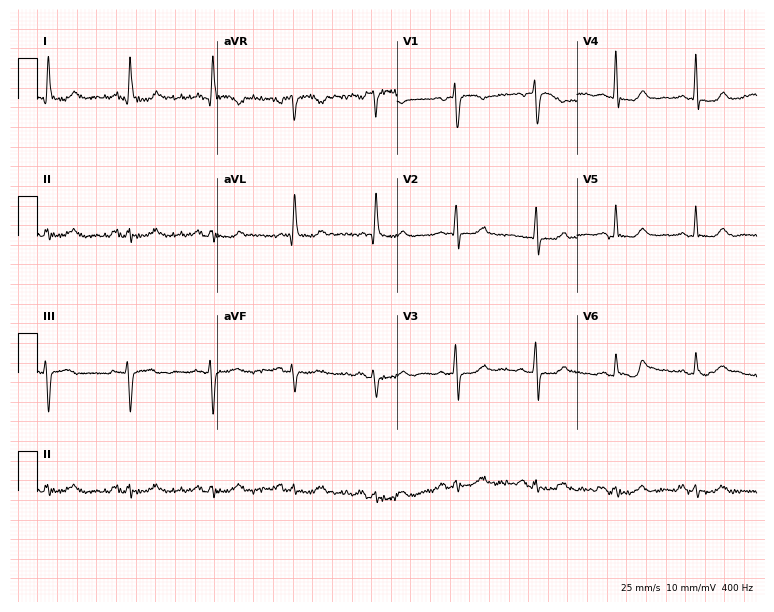
ECG — a female patient, 65 years old. Screened for six findings — first-degree AV block, right bundle branch block (RBBB), left bundle branch block (LBBB), sinus bradycardia, atrial fibrillation (AF), sinus tachycardia — none is recorded.